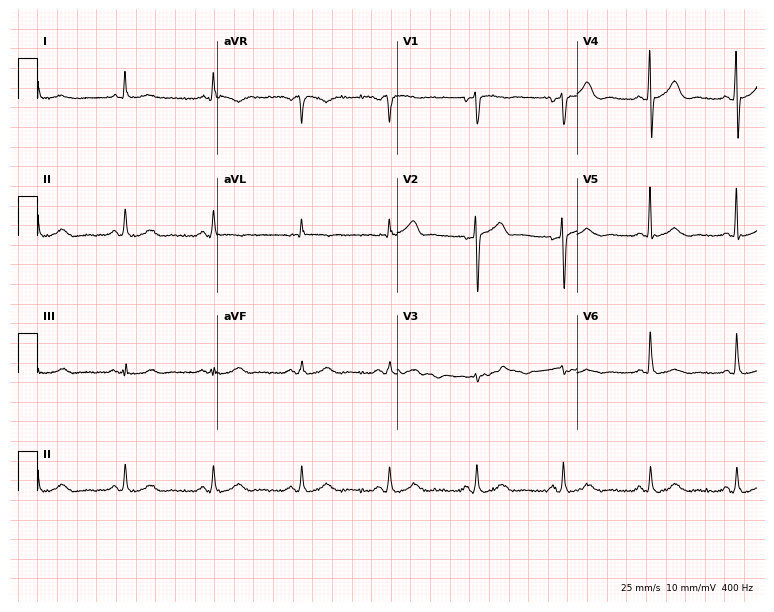
12-lead ECG (7.3-second recording at 400 Hz) from a man, 68 years old. Labelled as a normal ECG.